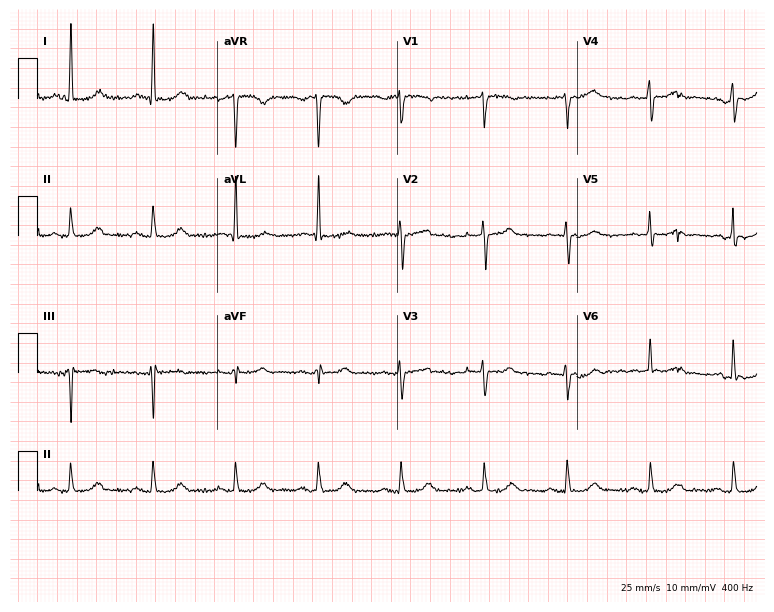
Electrocardiogram (7.3-second recording at 400 Hz), an 80-year-old female. Overall reading on record: normal ECG.